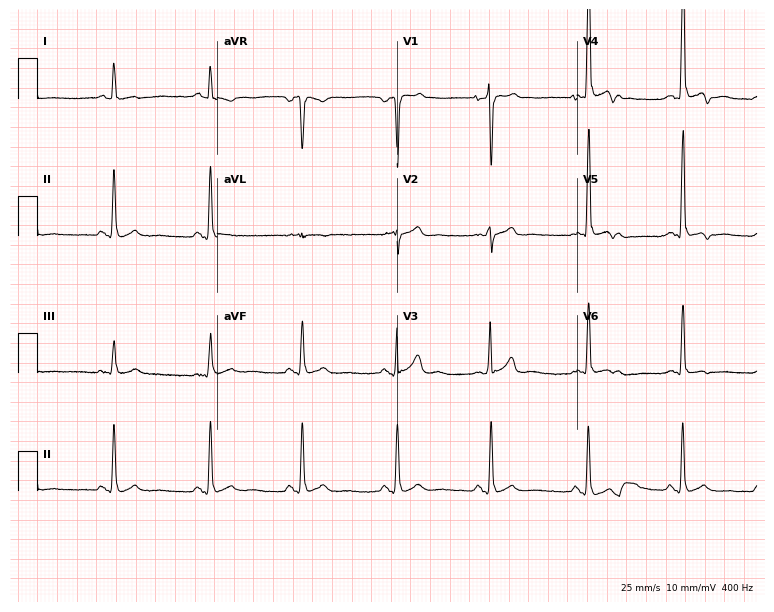
ECG (7.3-second recording at 400 Hz) — a 19-year-old male patient. Screened for six findings — first-degree AV block, right bundle branch block, left bundle branch block, sinus bradycardia, atrial fibrillation, sinus tachycardia — none is recorded.